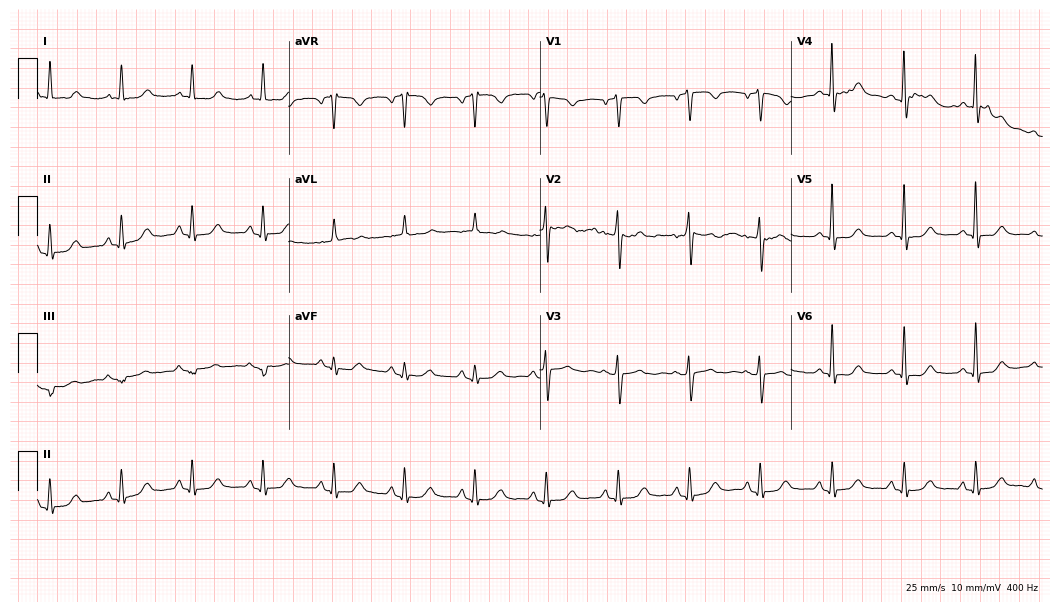
Resting 12-lead electrocardiogram. Patient: a 71-year-old woman. None of these six findings is recorded: first-degree AV block, right bundle branch block (RBBB), left bundle branch block (LBBB), sinus bradycardia, atrial fibrillation (AF), sinus tachycardia.